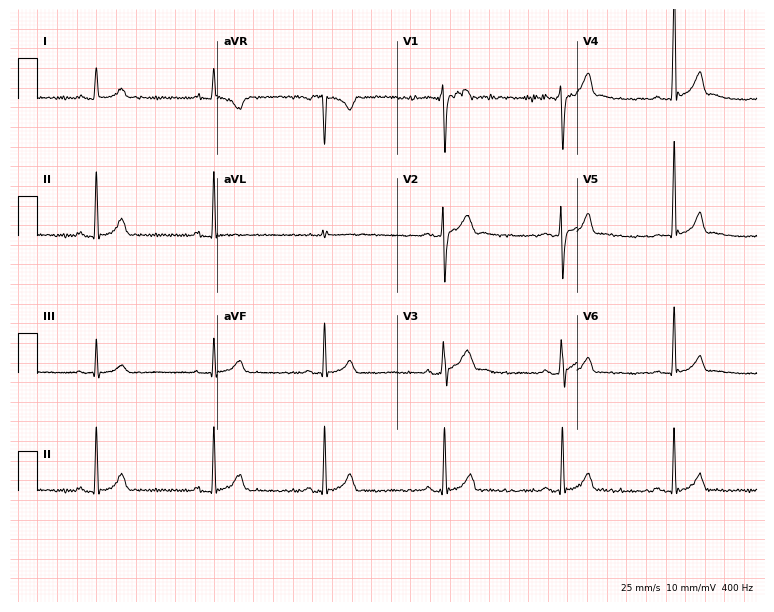
Resting 12-lead electrocardiogram. Patient: an 18-year-old male. Read as a normal ECG.